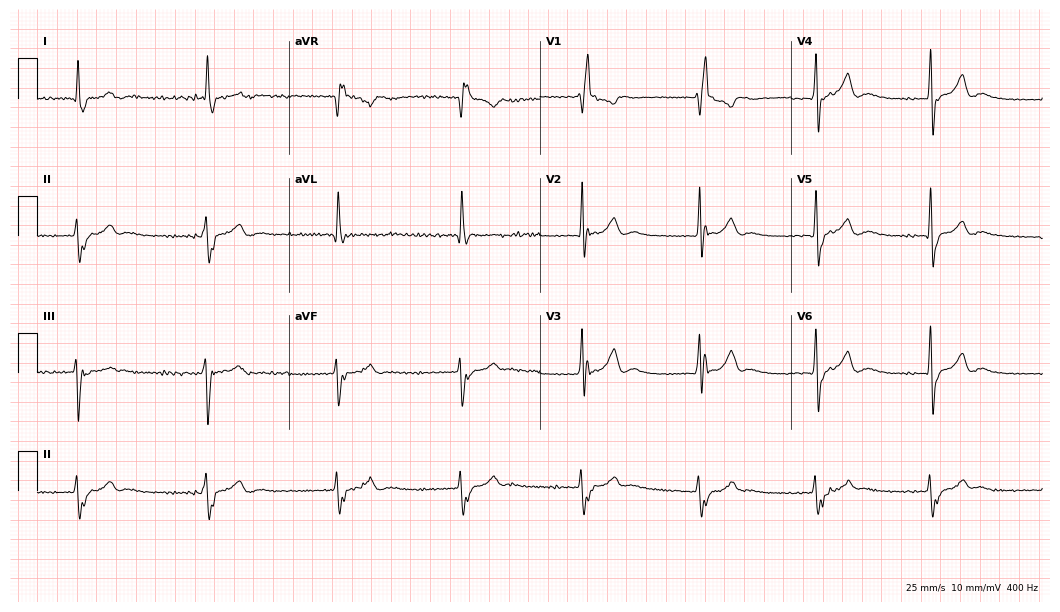
Resting 12-lead electrocardiogram. Patient: a 58-year-old woman. None of these six findings is recorded: first-degree AV block, right bundle branch block (RBBB), left bundle branch block (LBBB), sinus bradycardia, atrial fibrillation (AF), sinus tachycardia.